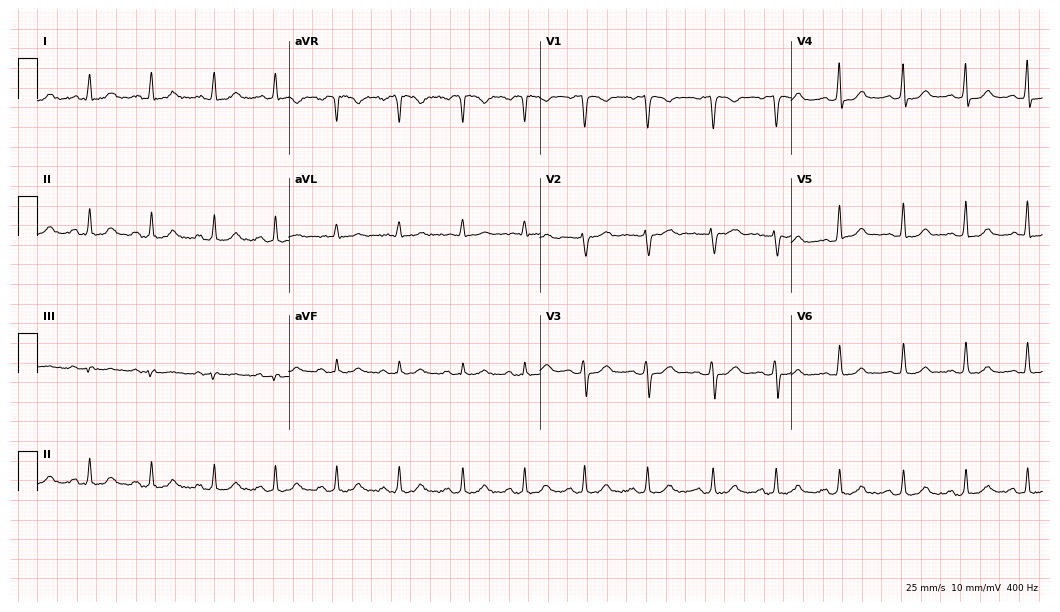
Standard 12-lead ECG recorded from a 36-year-old female patient. None of these six findings is recorded: first-degree AV block, right bundle branch block, left bundle branch block, sinus bradycardia, atrial fibrillation, sinus tachycardia. Other findings, if any, are not listed.